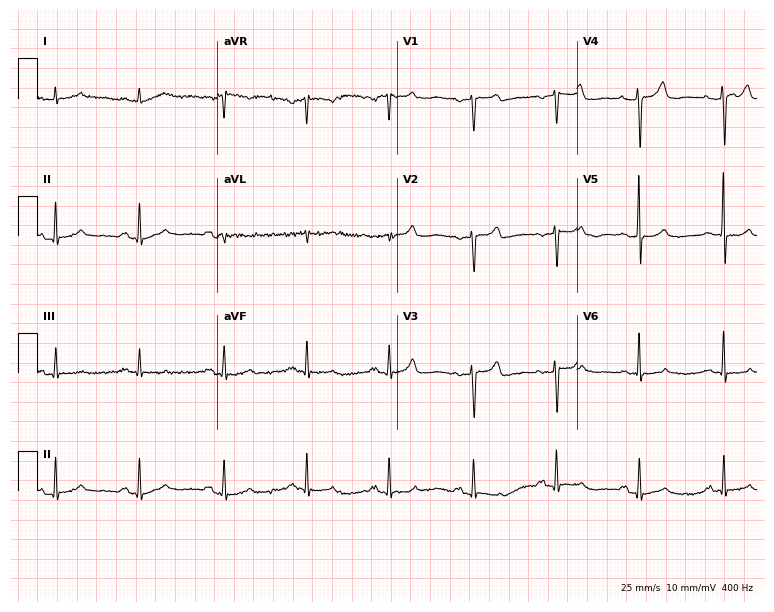
12-lead ECG from a 79-year-old female patient. Screened for six findings — first-degree AV block, right bundle branch block, left bundle branch block, sinus bradycardia, atrial fibrillation, sinus tachycardia — none is recorded.